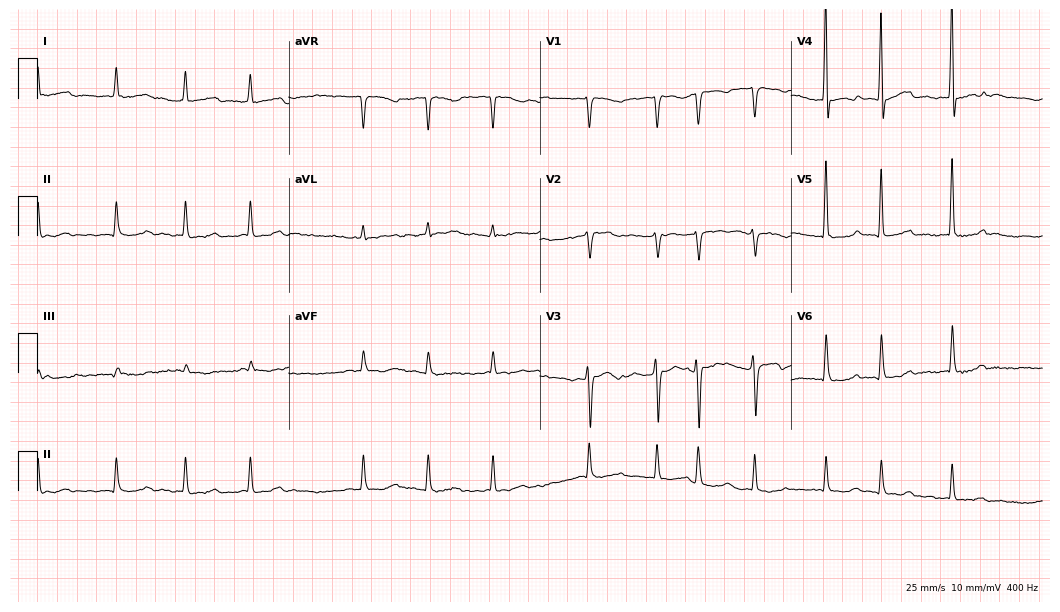
Resting 12-lead electrocardiogram (10.2-second recording at 400 Hz). Patient: a 62-year-old female. The tracing shows atrial fibrillation.